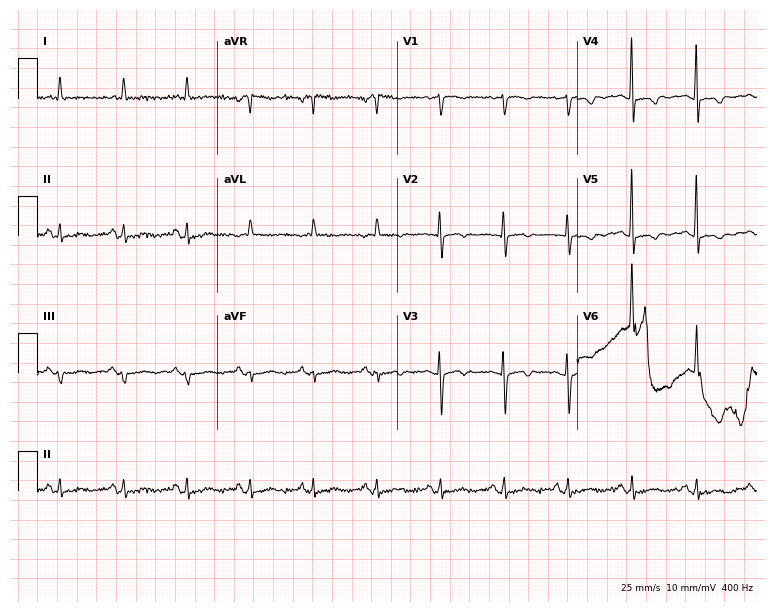
Resting 12-lead electrocardiogram (7.3-second recording at 400 Hz). Patient: a female, 56 years old. None of these six findings is recorded: first-degree AV block, right bundle branch block, left bundle branch block, sinus bradycardia, atrial fibrillation, sinus tachycardia. Findings outside these six are not listed.